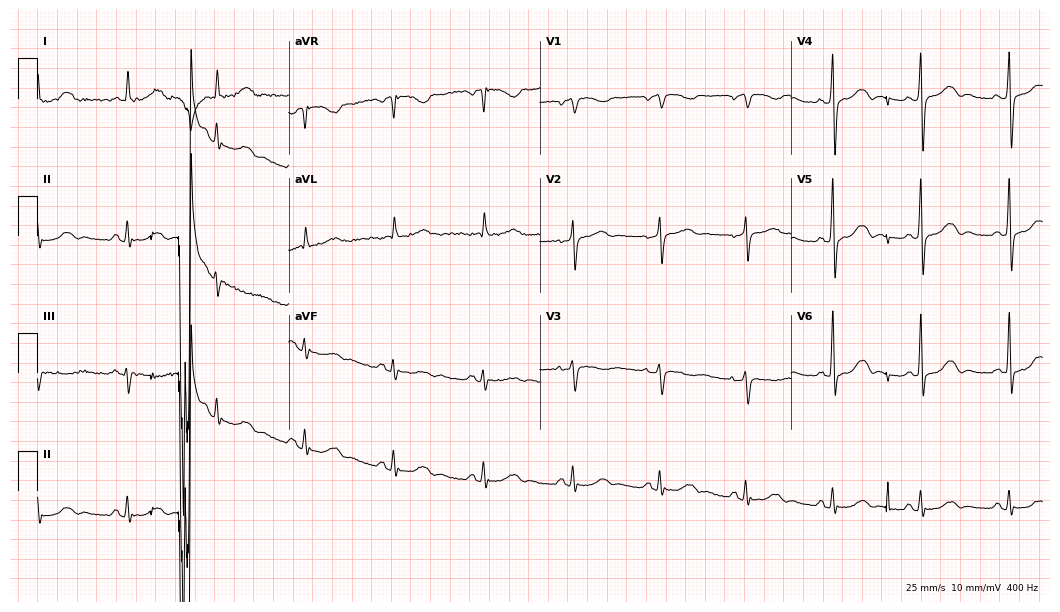
Standard 12-lead ECG recorded from a 78-year-old male patient. None of these six findings is recorded: first-degree AV block, right bundle branch block, left bundle branch block, sinus bradycardia, atrial fibrillation, sinus tachycardia. Only these six findings were labelled.